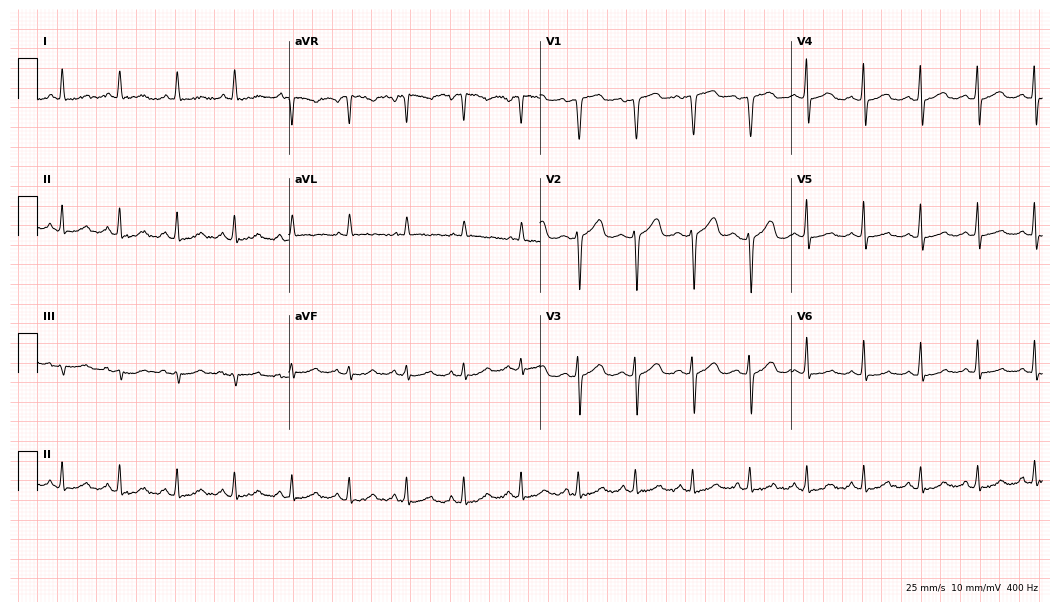
Resting 12-lead electrocardiogram. Patient: a female, 68 years old. The tracing shows sinus tachycardia (a sinus rate of 100 beats per minute or more).